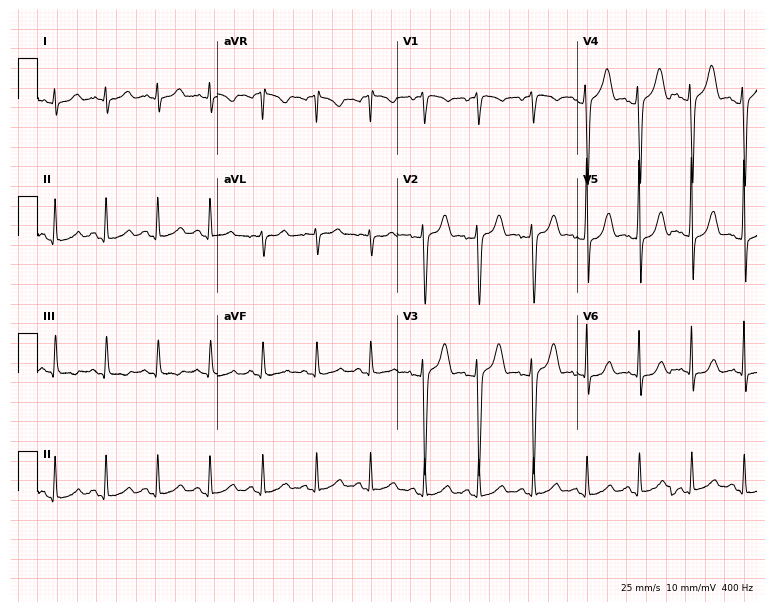
Resting 12-lead electrocardiogram. Patient: a male, 27 years old. The tracing shows sinus tachycardia (a sinus rate of 100 beats per minute or more).